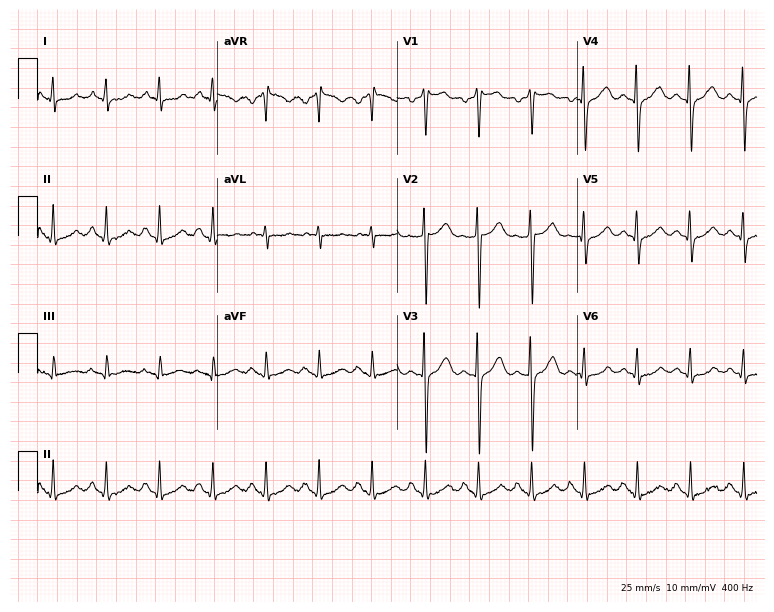
Standard 12-lead ECG recorded from a male, 50 years old (7.3-second recording at 400 Hz). The tracing shows sinus tachycardia (a sinus rate of 100 beats per minute or more).